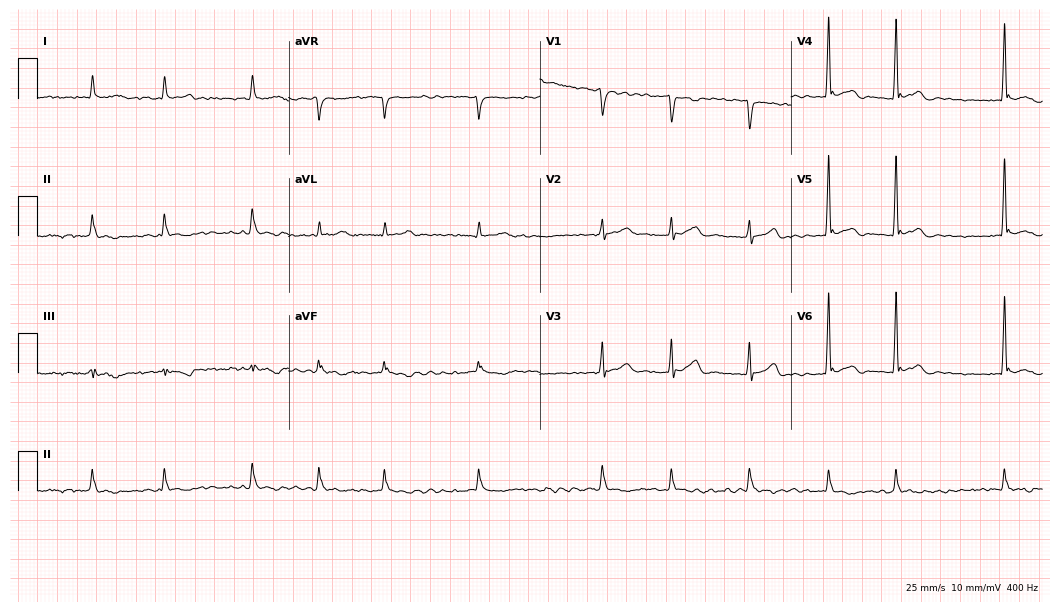
ECG — a male patient, 80 years old. Findings include atrial fibrillation (AF).